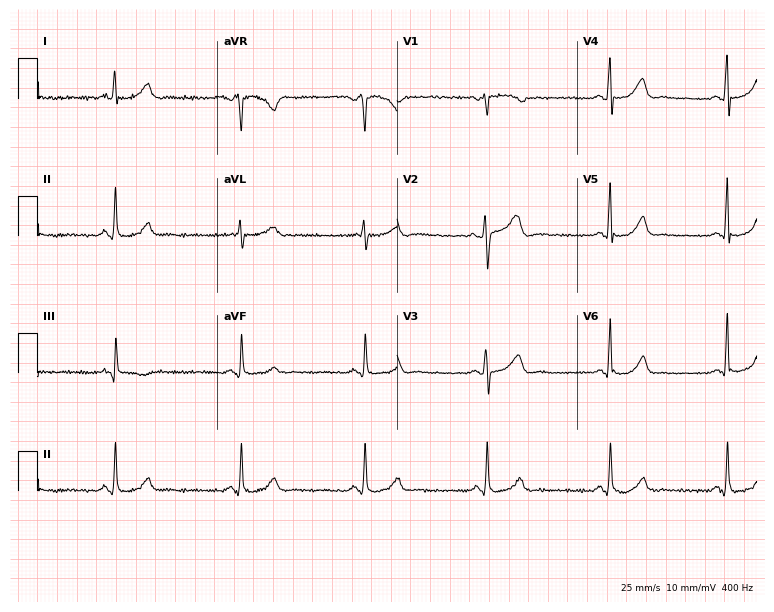
12-lead ECG from a male patient, 54 years old. Shows sinus bradycardia (a sinus rate of 50 beats per minute or less).